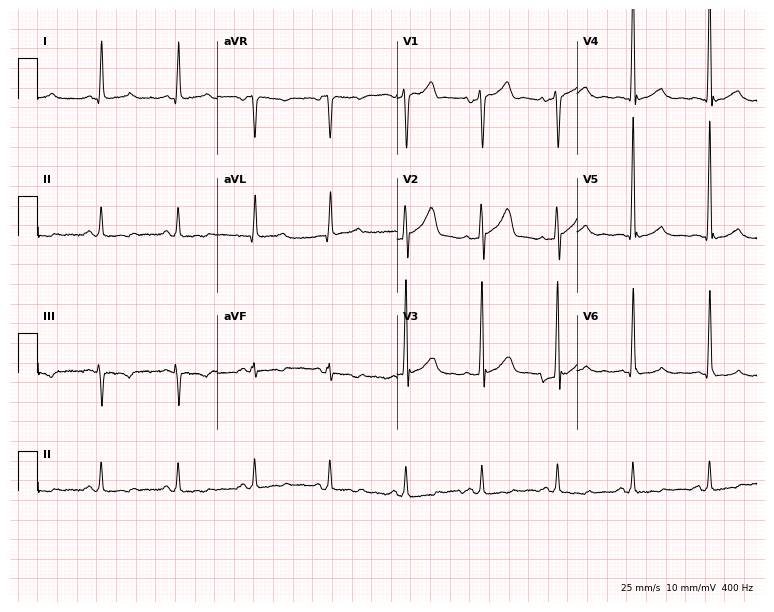
12-lead ECG (7.3-second recording at 400 Hz) from a man, 58 years old. Screened for six findings — first-degree AV block, right bundle branch block, left bundle branch block, sinus bradycardia, atrial fibrillation, sinus tachycardia — none is recorded. Findings outside these six are not listed.